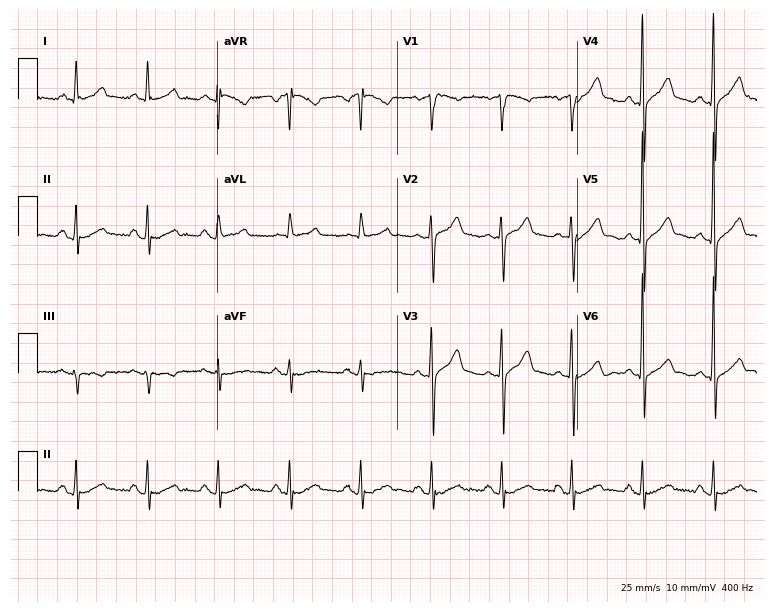
12-lead ECG (7.3-second recording at 400 Hz) from a man, 49 years old. Screened for six findings — first-degree AV block, right bundle branch block, left bundle branch block, sinus bradycardia, atrial fibrillation, sinus tachycardia — none is recorded. Other findings, if any, are not listed.